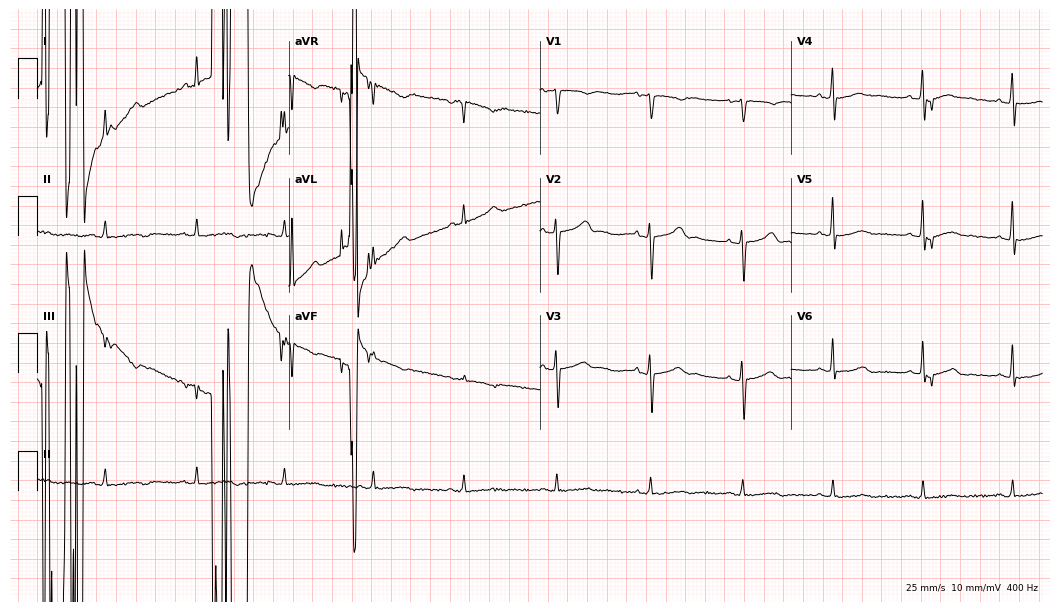
12-lead ECG from a 40-year-old female. No first-degree AV block, right bundle branch block (RBBB), left bundle branch block (LBBB), sinus bradycardia, atrial fibrillation (AF) or sinus tachycardia recorded for this tracing. Other findings, if any, are not listed.